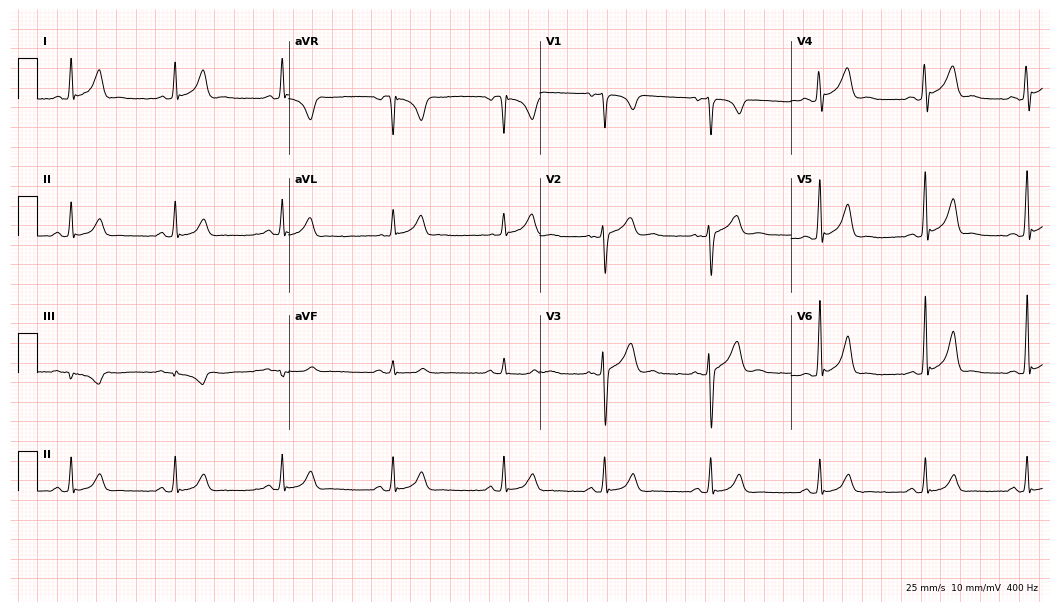
12-lead ECG from a 32-year-old man (10.2-second recording at 400 Hz). No first-degree AV block, right bundle branch block, left bundle branch block, sinus bradycardia, atrial fibrillation or sinus tachycardia recorded for this tracing.